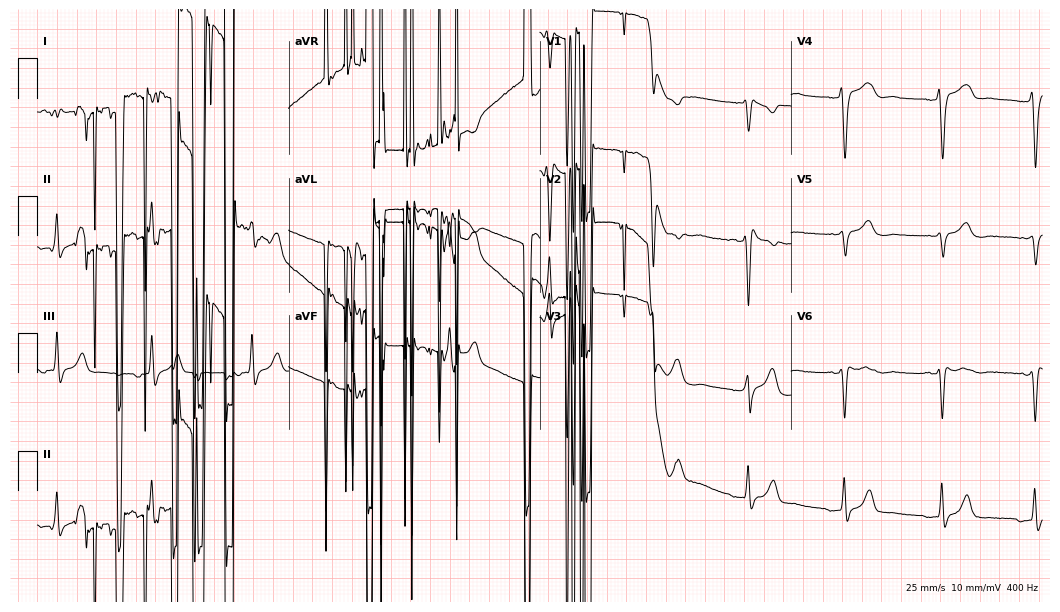
Electrocardiogram (10.2-second recording at 400 Hz), a 36-year-old woman. Of the six screened findings (first-degree AV block, right bundle branch block, left bundle branch block, sinus bradycardia, atrial fibrillation, sinus tachycardia), none is recorded.